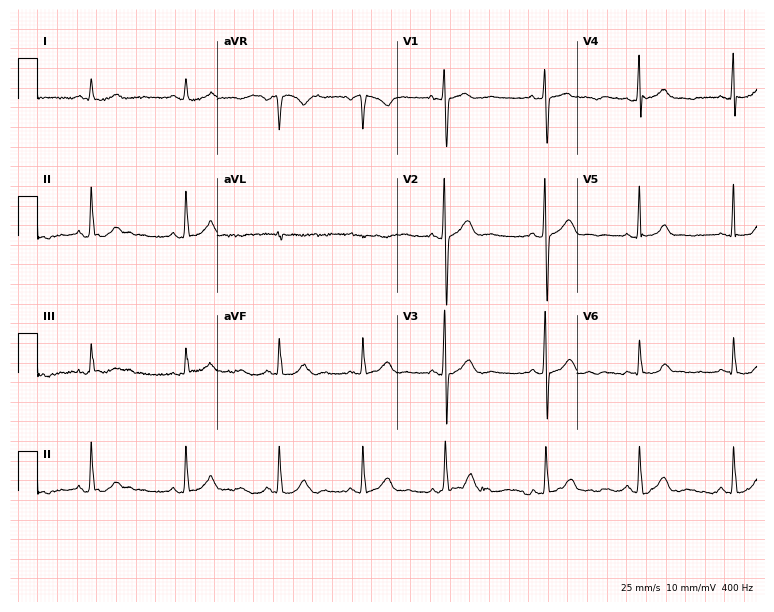
12-lead ECG from a female patient, 23 years old. Recorded interpretation: within normal limits.